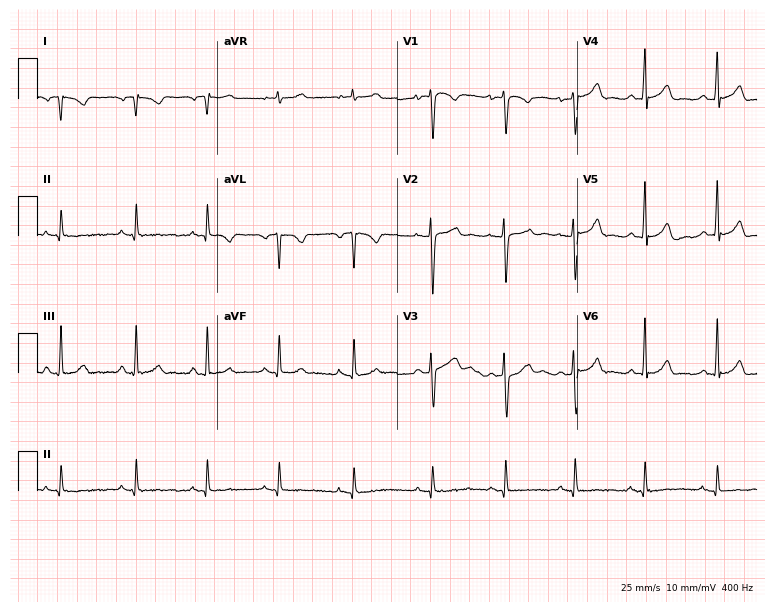
12-lead ECG from a 20-year-old woman. No first-degree AV block, right bundle branch block, left bundle branch block, sinus bradycardia, atrial fibrillation or sinus tachycardia recorded for this tracing.